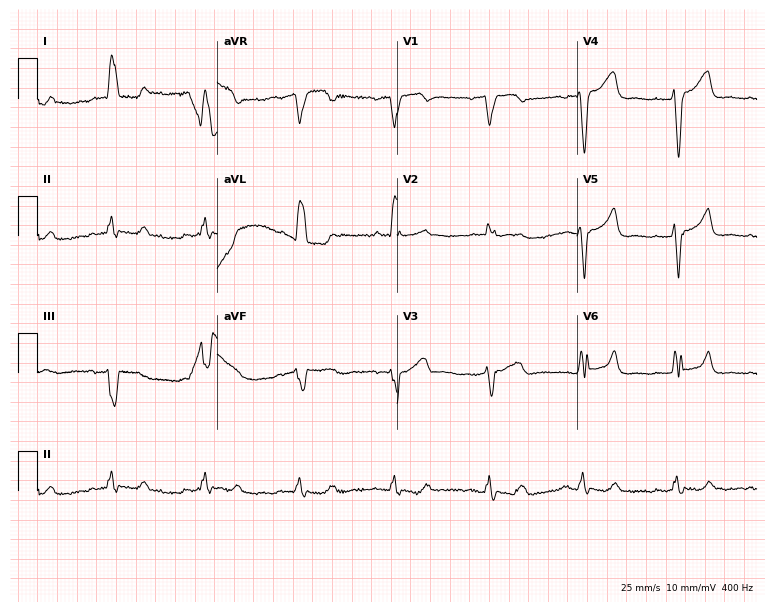
Standard 12-lead ECG recorded from an 80-year-old female (7.3-second recording at 400 Hz). The tracing shows left bundle branch block.